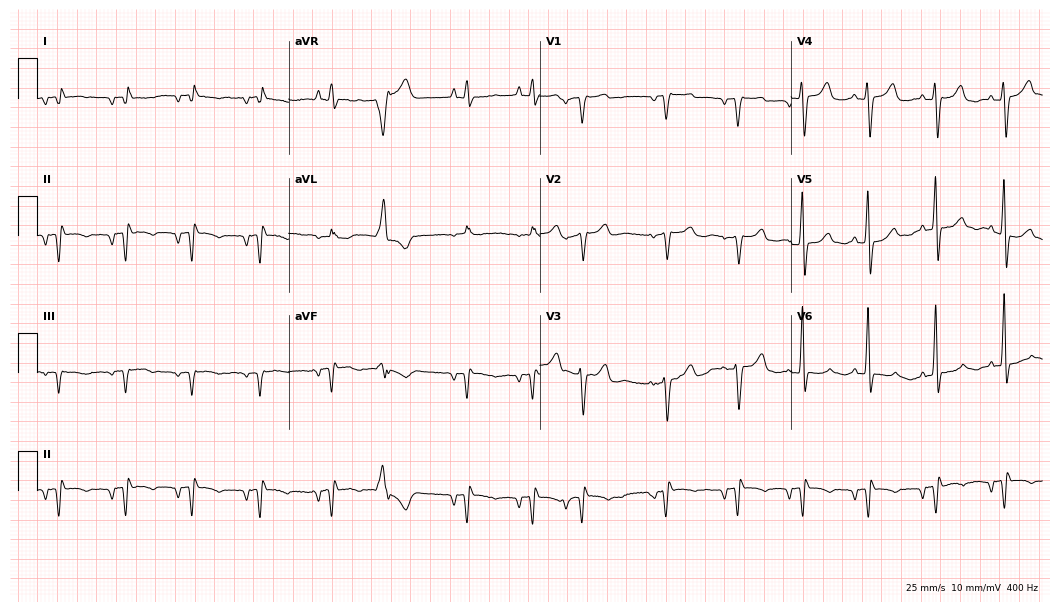
ECG (10.2-second recording at 400 Hz) — a 79-year-old woman. Screened for six findings — first-degree AV block, right bundle branch block, left bundle branch block, sinus bradycardia, atrial fibrillation, sinus tachycardia — none is recorded. Only these six findings were labelled.